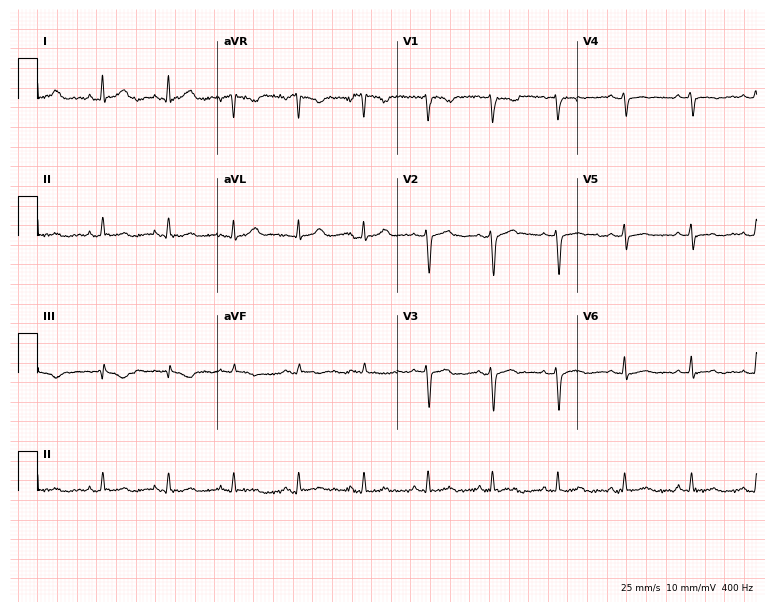
12-lead ECG from a 45-year-old female. No first-degree AV block, right bundle branch block, left bundle branch block, sinus bradycardia, atrial fibrillation or sinus tachycardia recorded for this tracing. Findings outside these six are not listed.